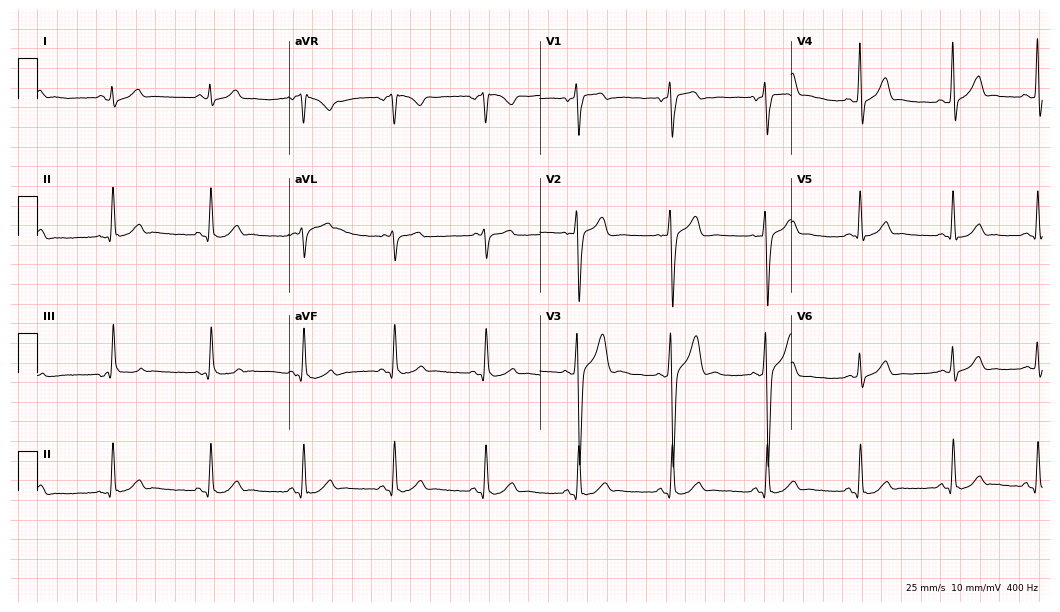
12-lead ECG from a 36-year-old man. Labelled as a normal ECG.